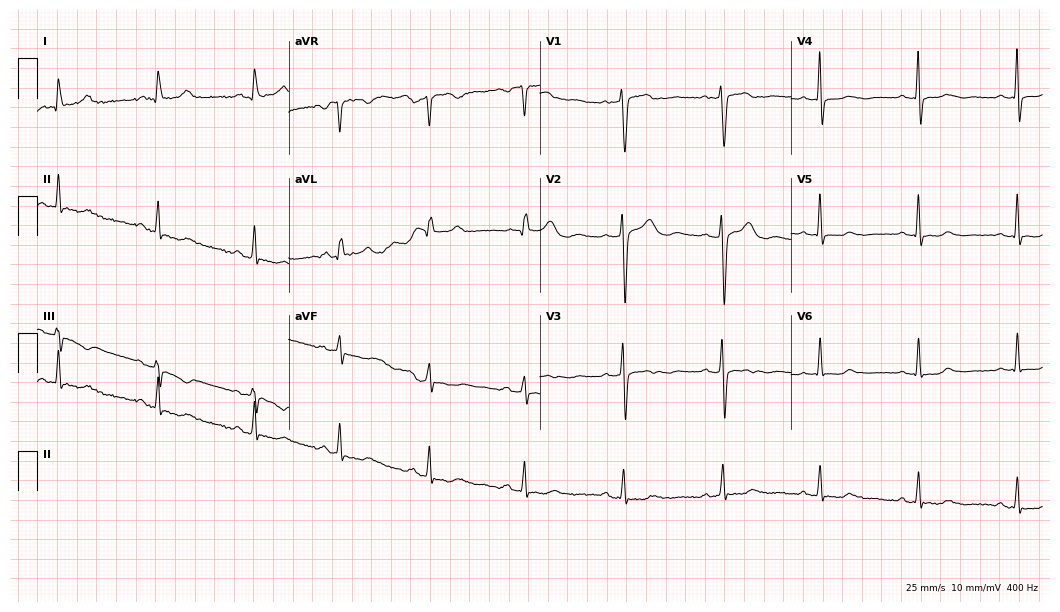
12-lead ECG (10.2-second recording at 400 Hz) from a female, 58 years old. Screened for six findings — first-degree AV block, right bundle branch block (RBBB), left bundle branch block (LBBB), sinus bradycardia, atrial fibrillation (AF), sinus tachycardia — none is recorded. Findings outside these six are not listed.